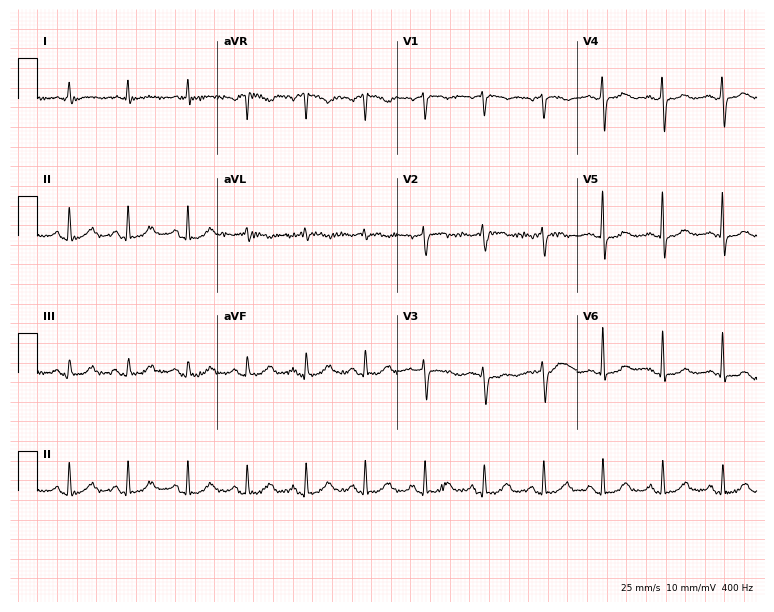
Electrocardiogram (7.3-second recording at 400 Hz), a woman, 44 years old. Of the six screened findings (first-degree AV block, right bundle branch block (RBBB), left bundle branch block (LBBB), sinus bradycardia, atrial fibrillation (AF), sinus tachycardia), none is recorded.